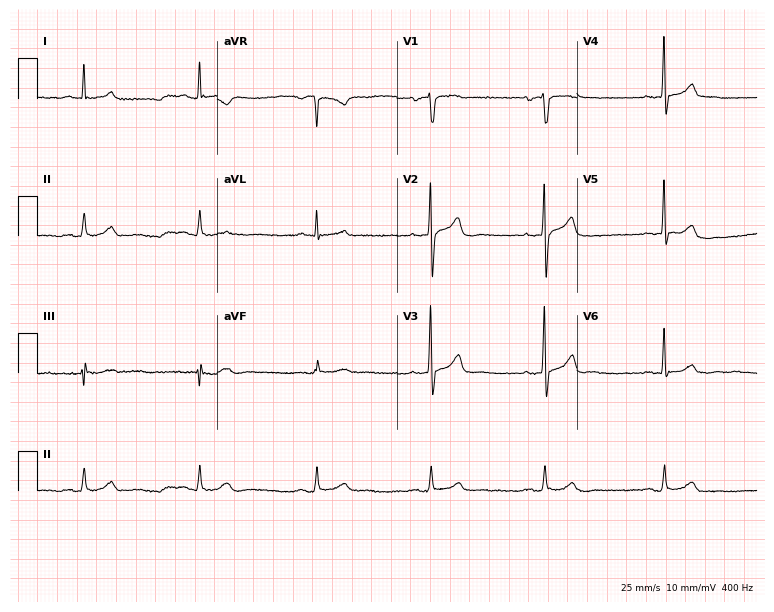
ECG — a man, 57 years old. Labelled as a normal ECG.